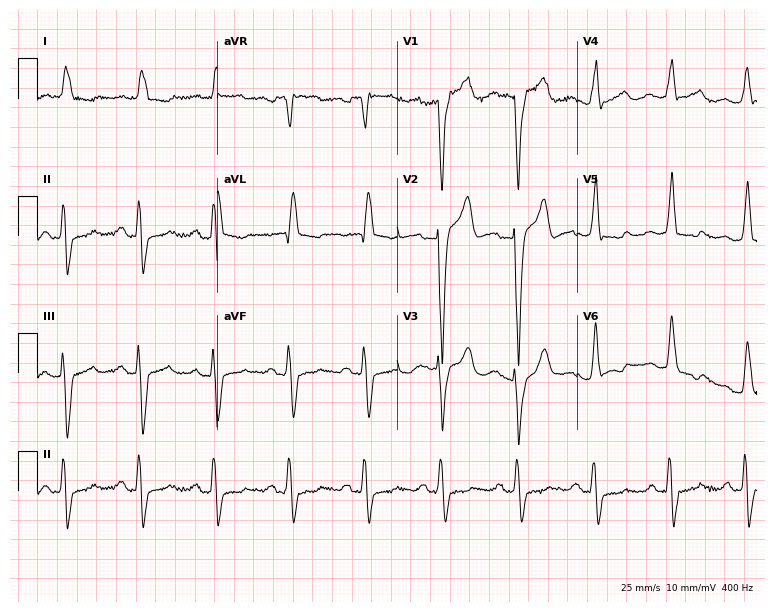
12-lead ECG from a 67-year-old male patient. Shows left bundle branch block.